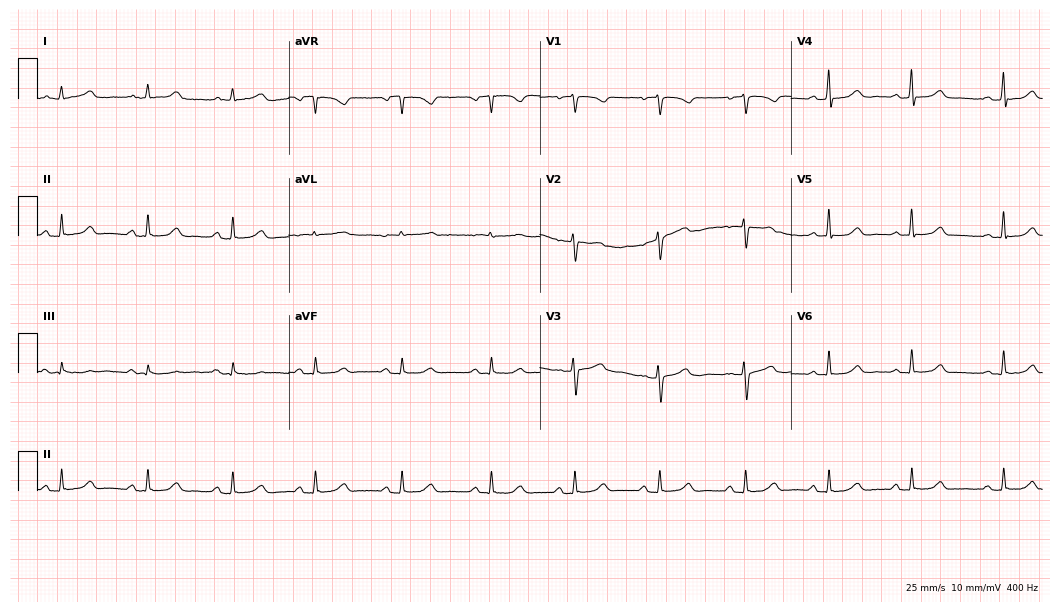
Electrocardiogram (10.2-second recording at 400 Hz), a 37-year-old female. Overall reading on record: normal ECG.